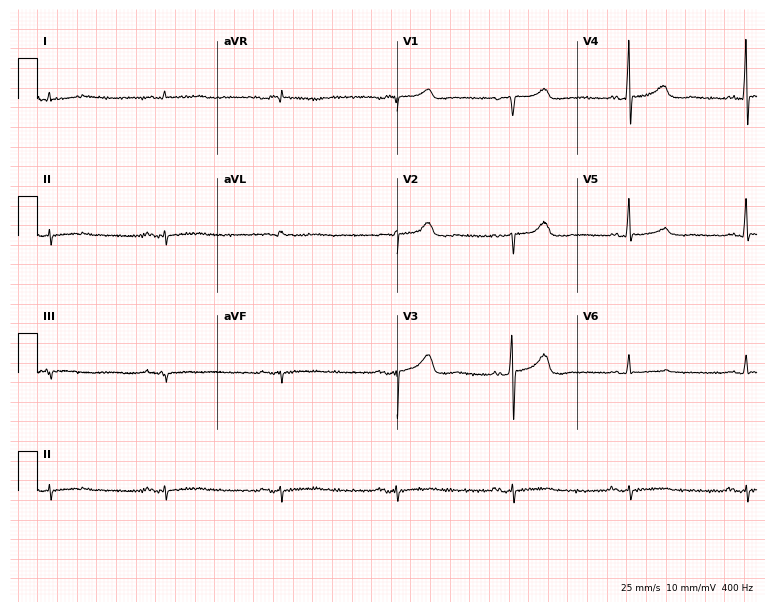
Resting 12-lead electrocardiogram (7.3-second recording at 400 Hz). Patient: a male, 71 years old. None of these six findings is recorded: first-degree AV block, right bundle branch block (RBBB), left bundle branch block (LBBB), sinus bradycardia, atrial fibrillation (AF), sinus tachycardia.